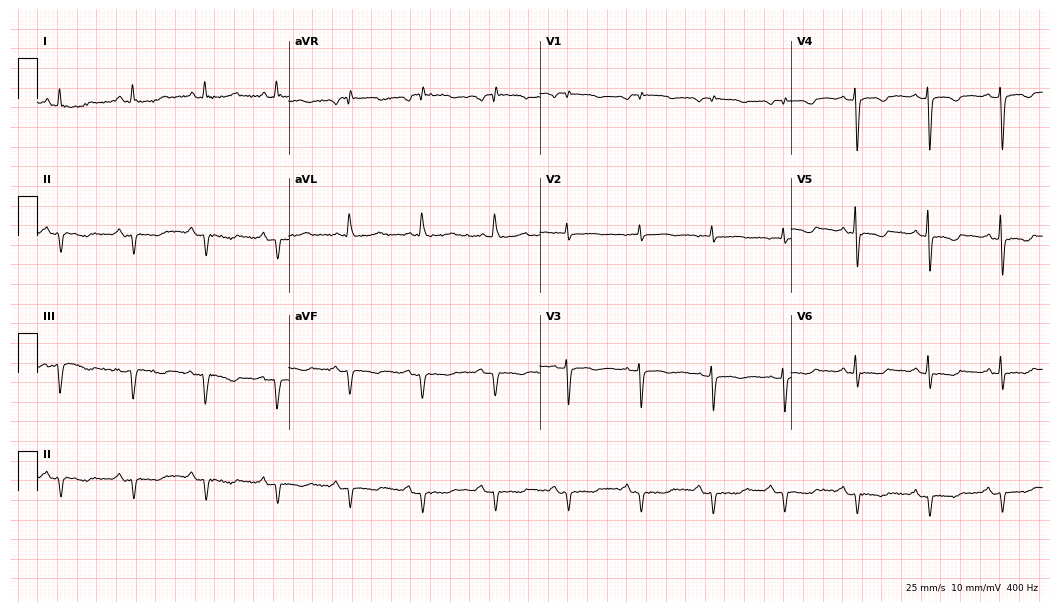
12-lead ECG from a female patient, 83 years old. No first-degree AV block, right bundle branch block, left bundle branch block, sinus bradycardia, atrial fibrillation or sinus tachycardia recorded for this tracing.